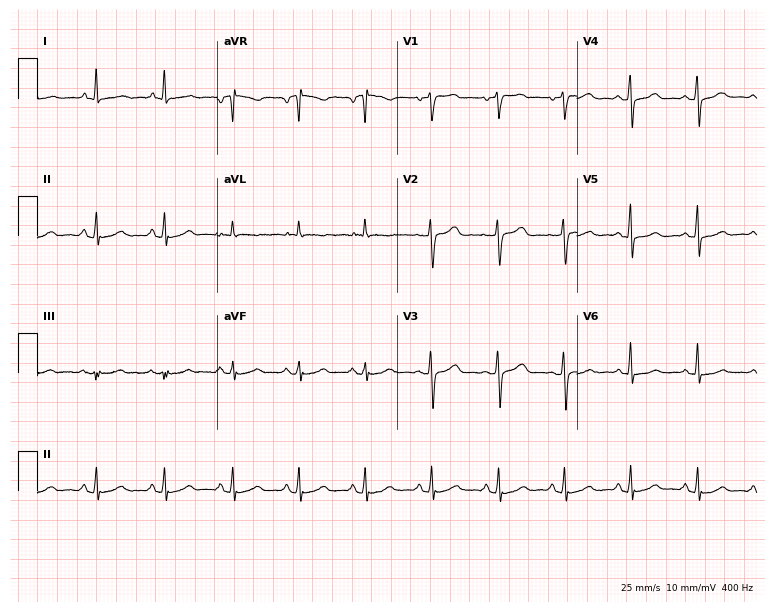
12-lead ECG from a woman, 61 years old. Labelled as a normal ECG.